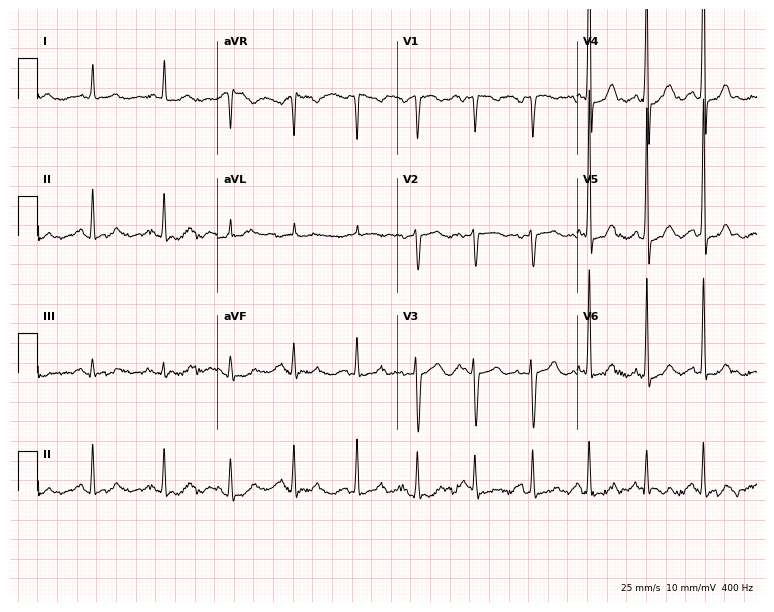
12-lead ECG from a 52-year-old woman (7.3-second recording at 400 Hz). No first-degree AV block, right bundle branch block (RBBB), left bundle branch block (LBBB), sinus bradycardia, atrial fibrillation (AF) or sinus tachycardia recorded for this tracing. Only these six findings were labelled.